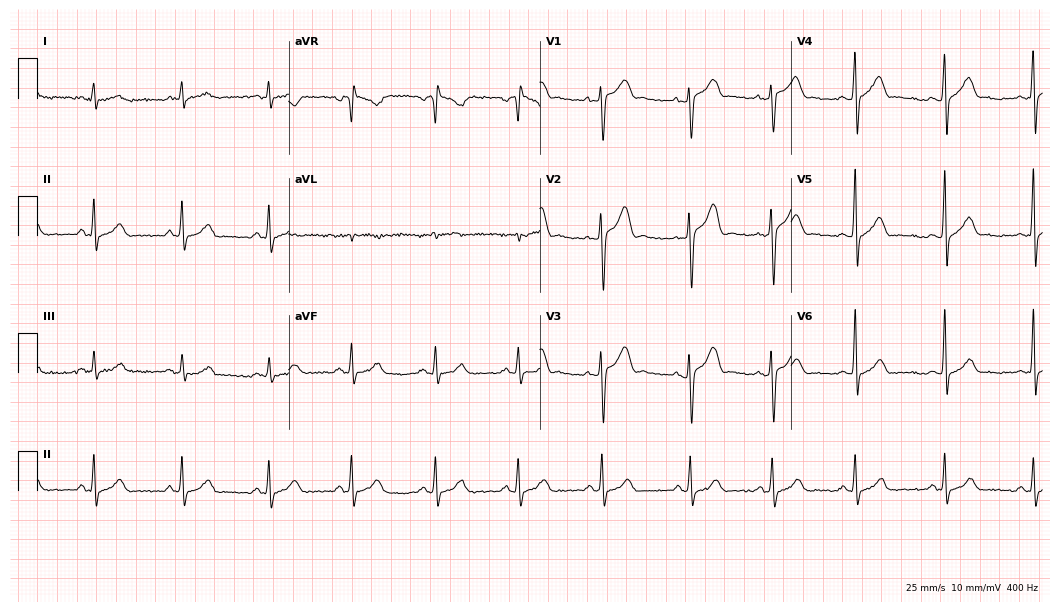
Resting 12-lead electrocardiogram (10.2-second recording at 400 Hz). Patient: a male, 27 years old. Read as a normal ECG.